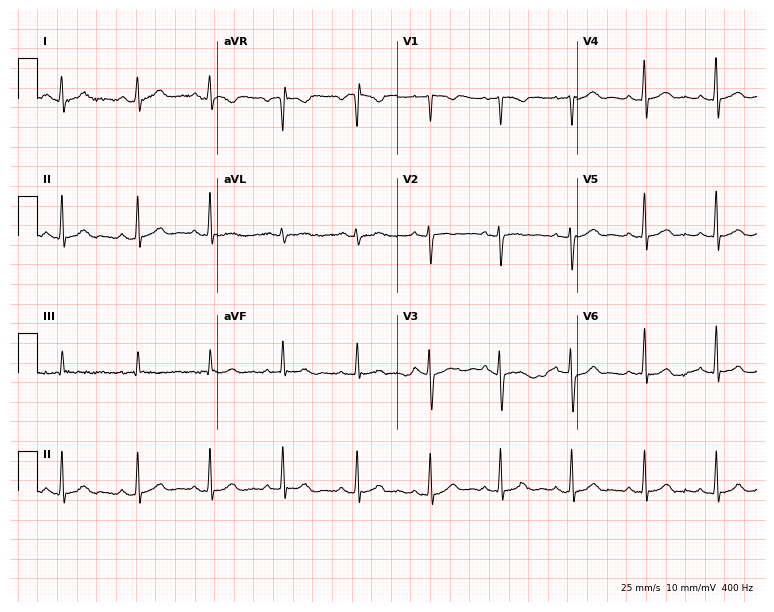
Standard 12-lead ECG recorded from a 21-year-old female. None of these six findings is recorded: first-degree AV block, right bundle branch block (RBBB), left bundle branch block (LBBB), sinus bradycardia, atrial fibrillation (AF), sinus tachycardia.